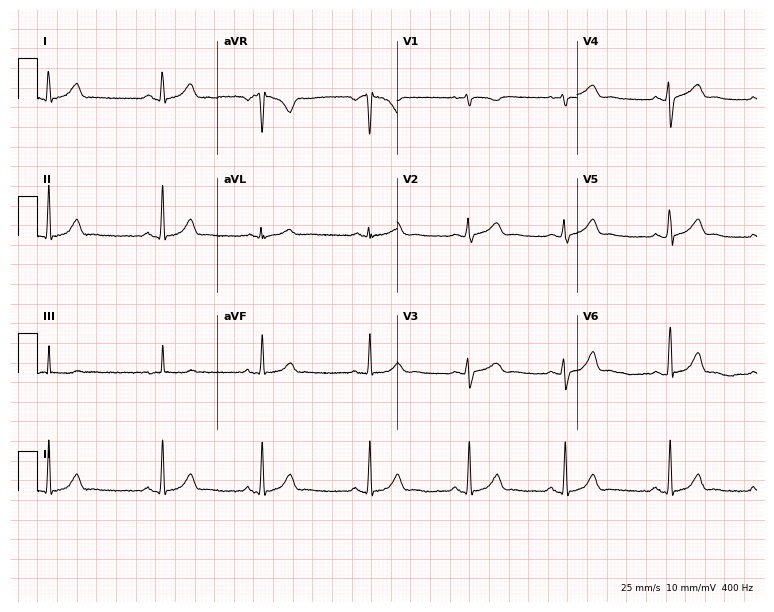
12-lead ECG from a 20-year-old female patient. No first-degree AV block, right bundle branch block, left bundle branch block, sinus bradycardia, atrial fibrillation or sinus tachycardia recorded for this tracing. Only these six findings were labelled.